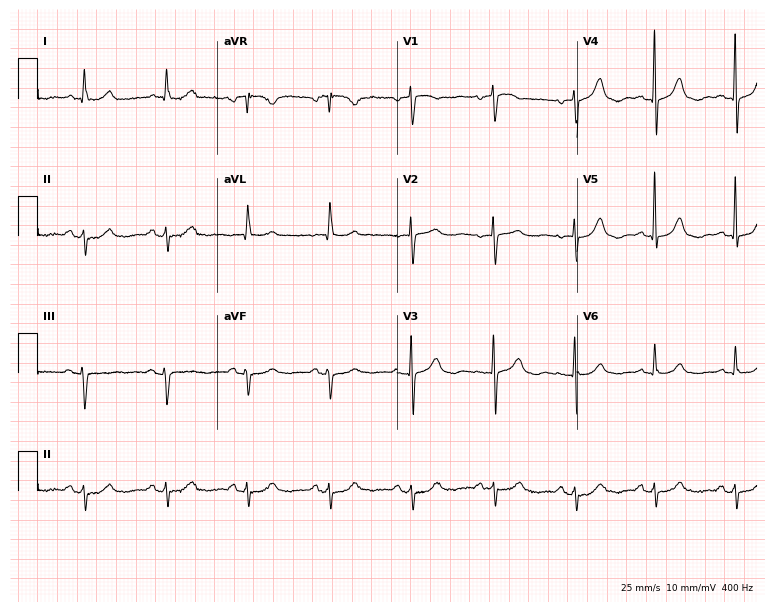
Resting 12-lead electrocardiogram. Patient: an 85-year-old female. None of these six findings is recorded: first-degree AV block, right bundle branch block, left bundle branch block, sinus bradycardia, atrial fibrillation, sinus tachycardia.